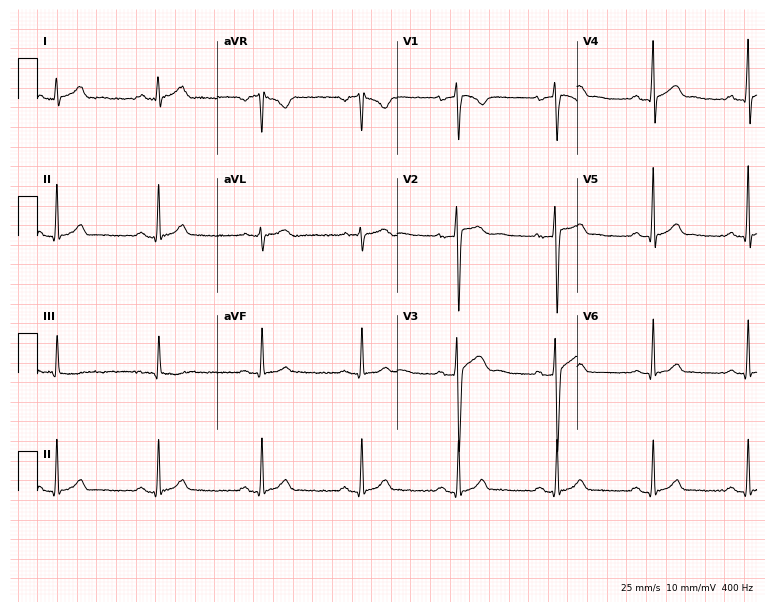
ECG — a 28-year-old male patient. Labelled as a normal ECG.